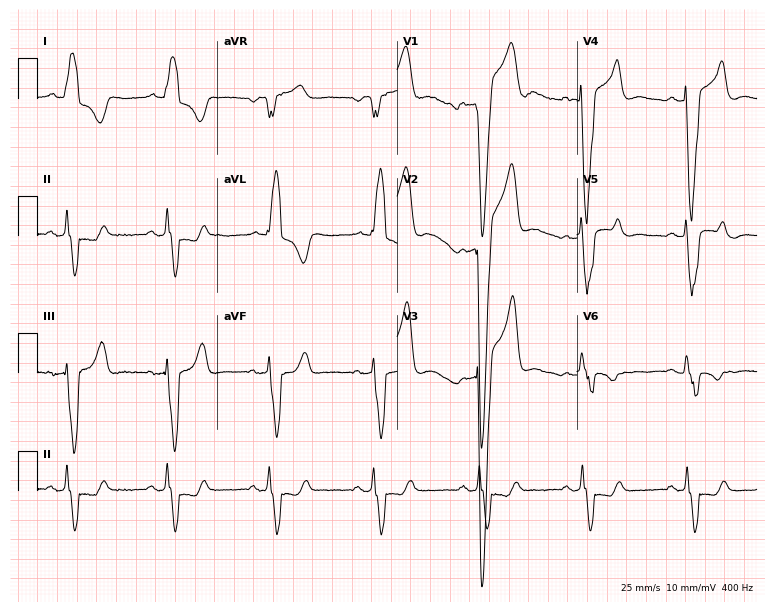
Standard 12-lead ECG recorded from a 60-year-old man (7.3-second recording at 400 Hz). None of these six findings is recorded: first-degree AV block, right bundle branch block (RBBB), left bundle branch block (LBBB), sinus bradycardia, atrial fibrillation (AF), sinus tachycardia. Only these six findings were labelled.